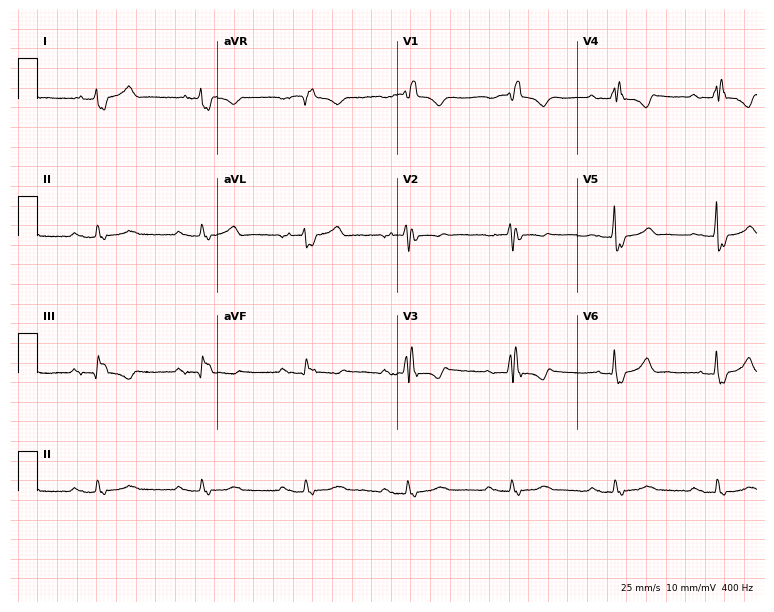
Resting 12-lead electrocardiogram (7.3-second recording at 400 Hz). Patient: a female, 76 years old. The tracing shows first-degree AV block, right bundle branch block.